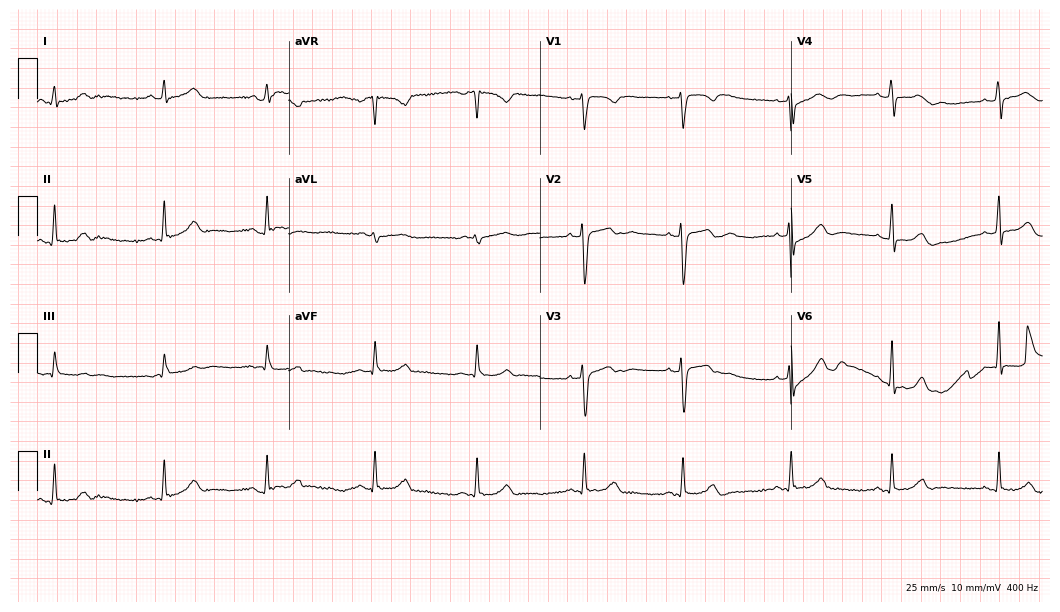
ECG — a 26-year-old woman. Labelled as a normal ECG.